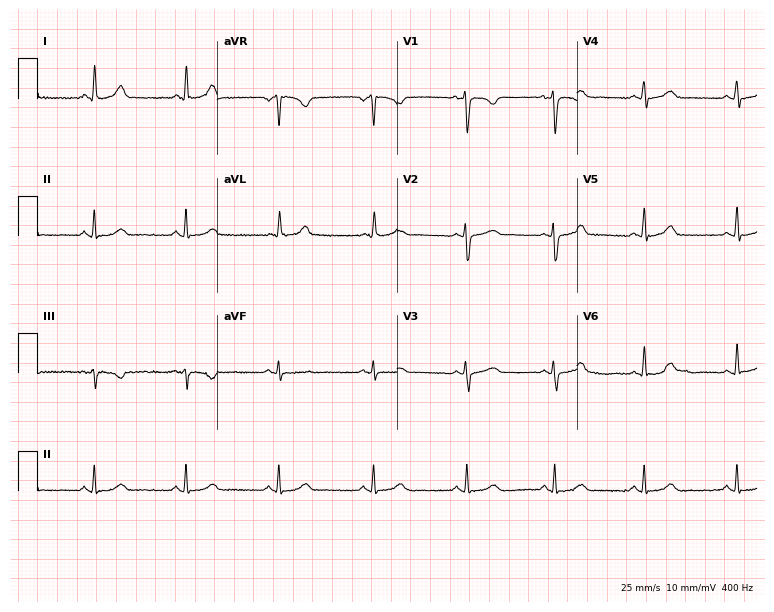
12-lead ECG from a 27-year-old female. No first-degree AV block, right bundle branch block, left bundle branch block, sinus bradycardia, atrial fibrillation or sinus tachycardia recorded for this tracing. Only these six findings were labelled.